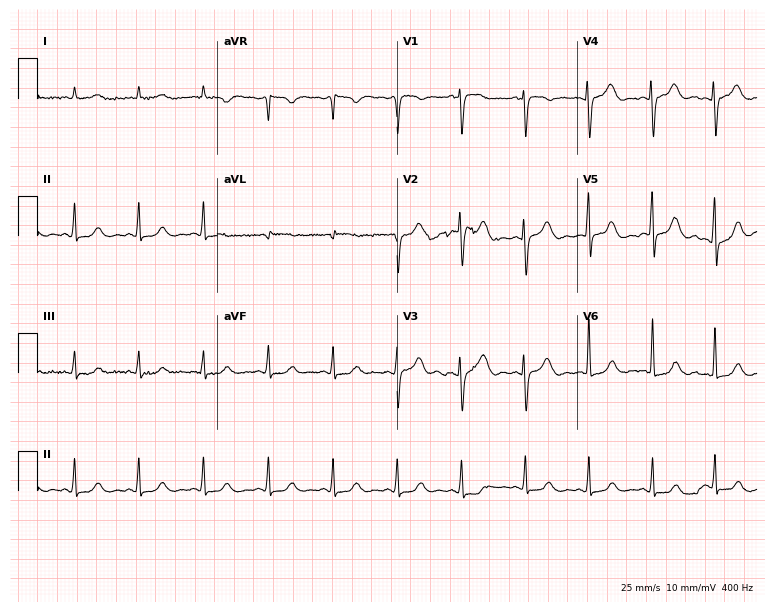
ECG (7.3-second recording at 400 Hz) — a 66-year-old female. Screened for six findings — first-degree AV block, right bundle branch block, left bundle branch block, sinus bradycardia, atrial fibrillation, sinus tachycardia — none is recorded.